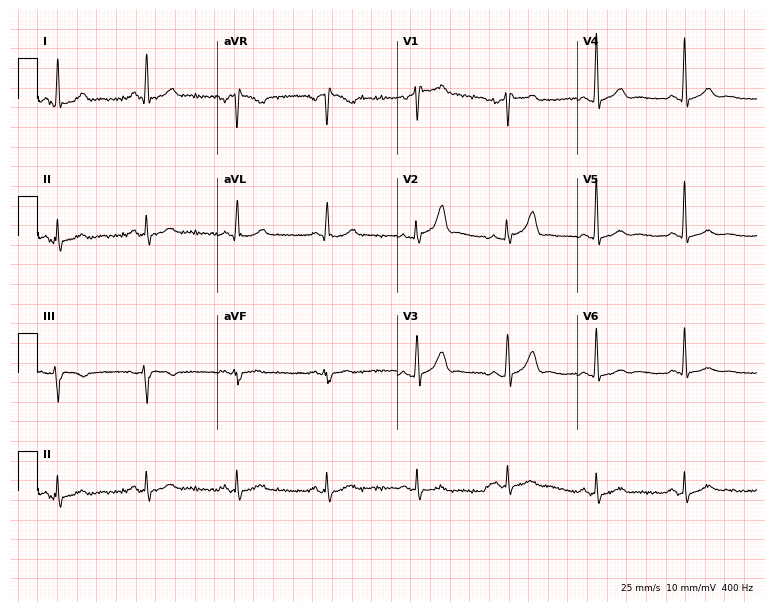
Resting 12-lead electrocardiogram (7.3-second recording at 400 Hz). Patient: a 54-year-old male. None of these six findings is recorded: first-degree AV block, right bundle branch block (RBBB), left bundle branch block (LBBB), sinus bradycardia, atrial fibrillation (AF), sinus tachycardia. Findings outside these six are not listed.